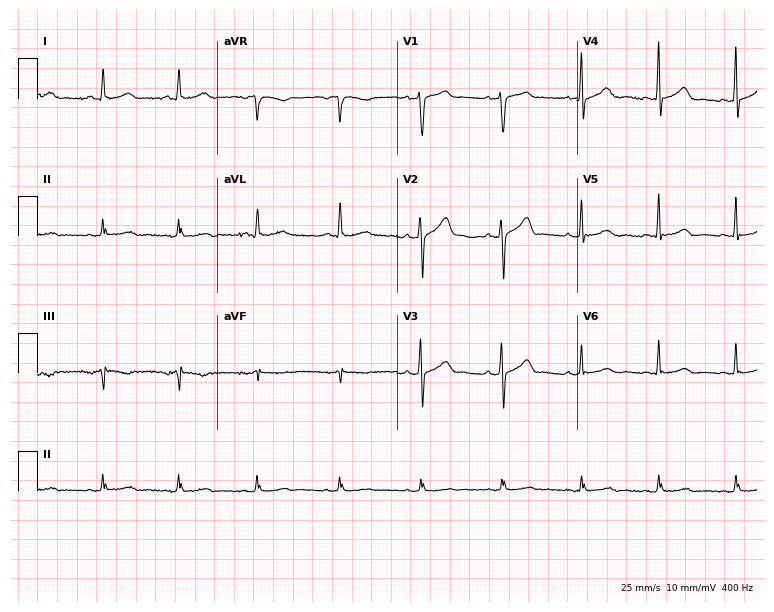
Resting 12-lead electrocardiogram. Patient: a female, 54 years old. None of these six findings is recorded: first-degree AV block, right bundle branch block, left bundle branch block, sinus bradycardia, atrial fibrillation, sinus tachycardia.